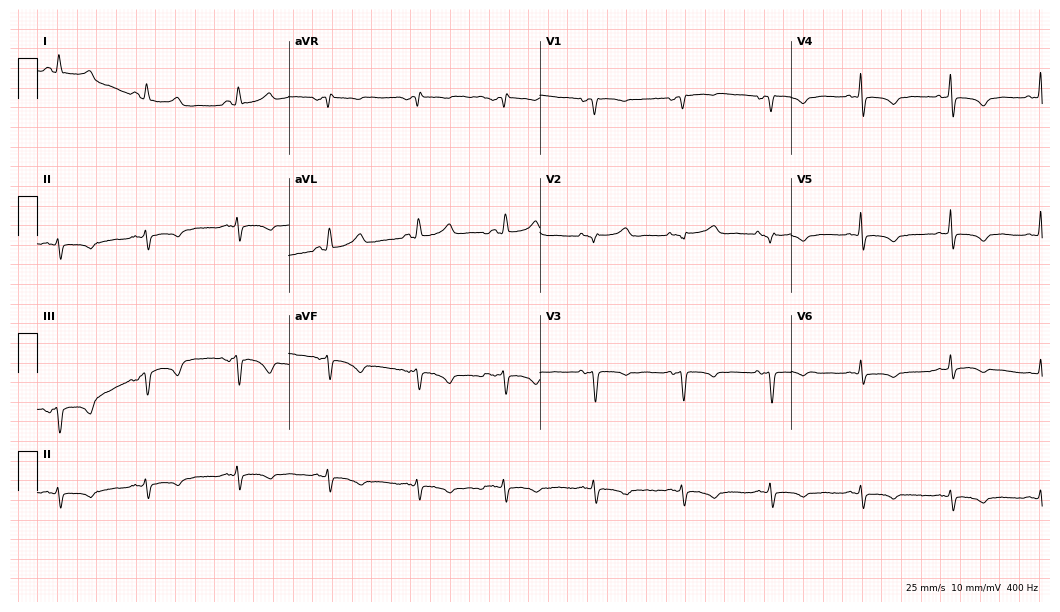
Electrocardiogram (10.2-second recording at 400 Hz), a 44-year-old woman. Of the six screened findings (first-degree AV block, right bundle branch block (RBBB), left bundle branch block (LBBB), sinus bradycardia, atrial fibrillation (AF), sinus tachycardia), none is recorded.